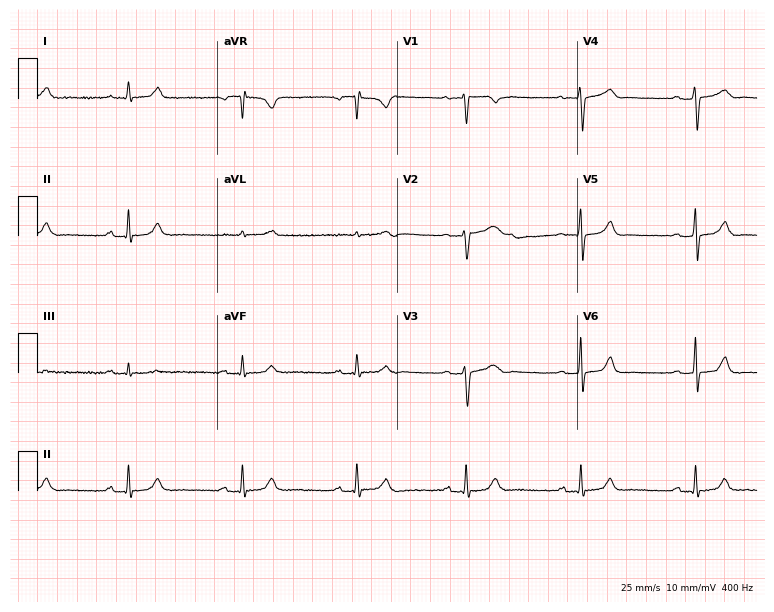
12-lead ECG from a 42-year-old woman (7.3-second recording at 400 Hz). Recorded interpretation: within normal limits.